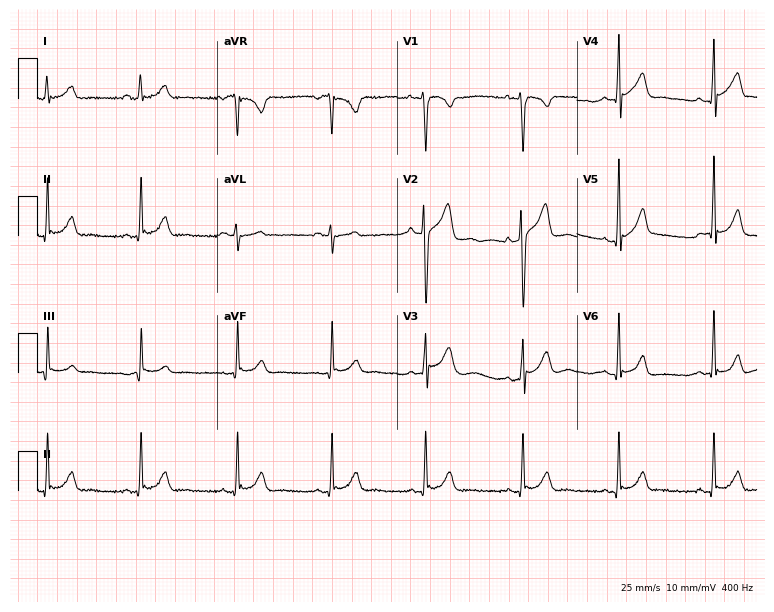
ECG — a male patient, 24 years old. Labelled as a normal ECG.